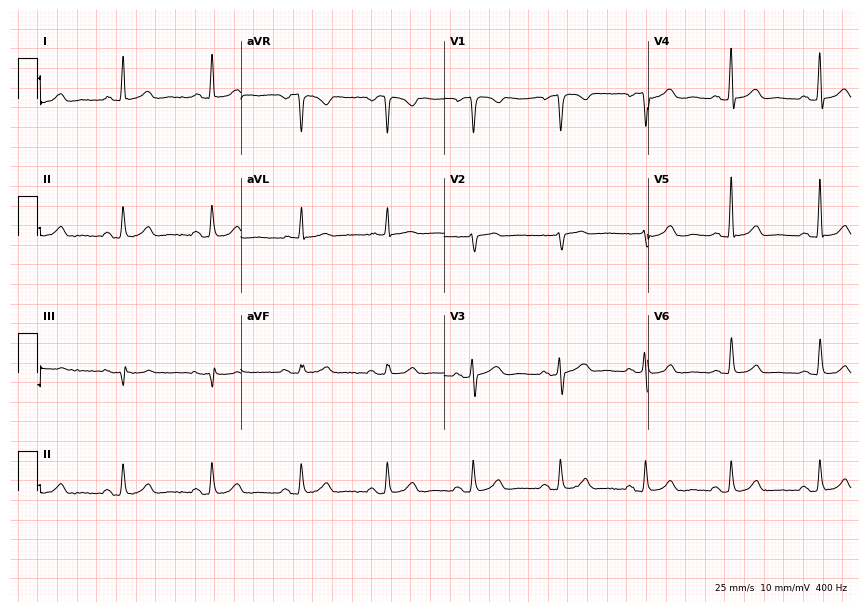
ECG (8.3-second recording at 400 Hz) — a female, 57 years old. Screened for six findings — first-degree AV block, right bundle branch block, left bundle branch block, sinus bradycardia, atrial fibrillation, sinus tachycardia — none is recorded. Findings outside these six are not listed.